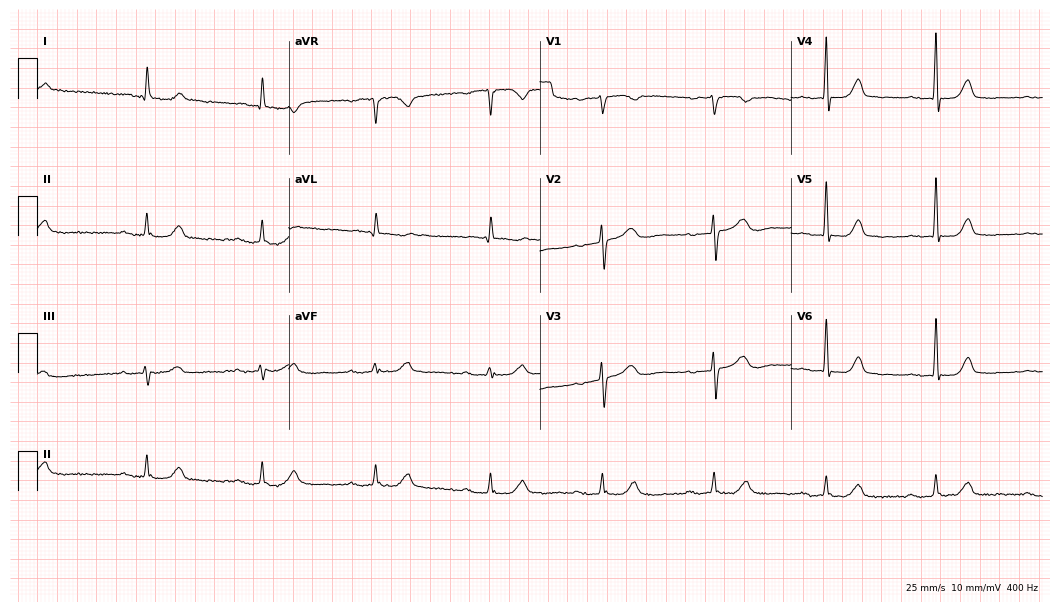
12-lead ECG from a woman, 83 years old (10.2-second recording at 400 Hz). Shows first-degree AV block, atrial fibrillation.